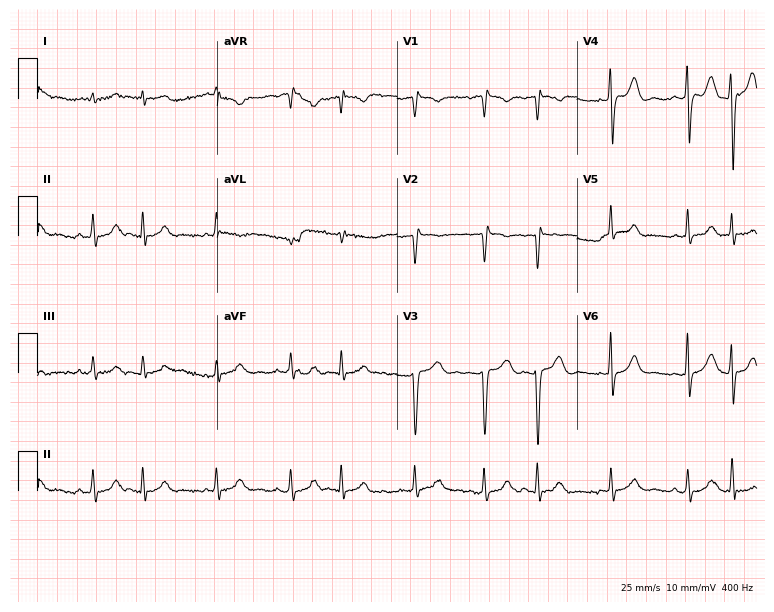
ECG (7.3-second recording at 400 Hz) — a 49-year-old male patient. Screened for six findings — first-degree AV block, right bundle branch block (RBBB), left bundle branch block (LBBB), sinus bradycardia, atrial fibrillation (AF), sinus tachycardia — none is recorded.